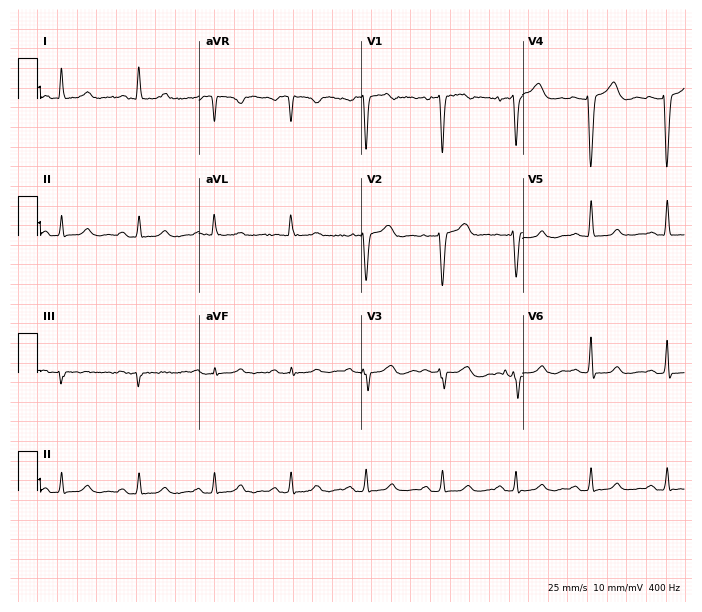
ECG — a 34-year-old woman. Labelled as a normal ECG.